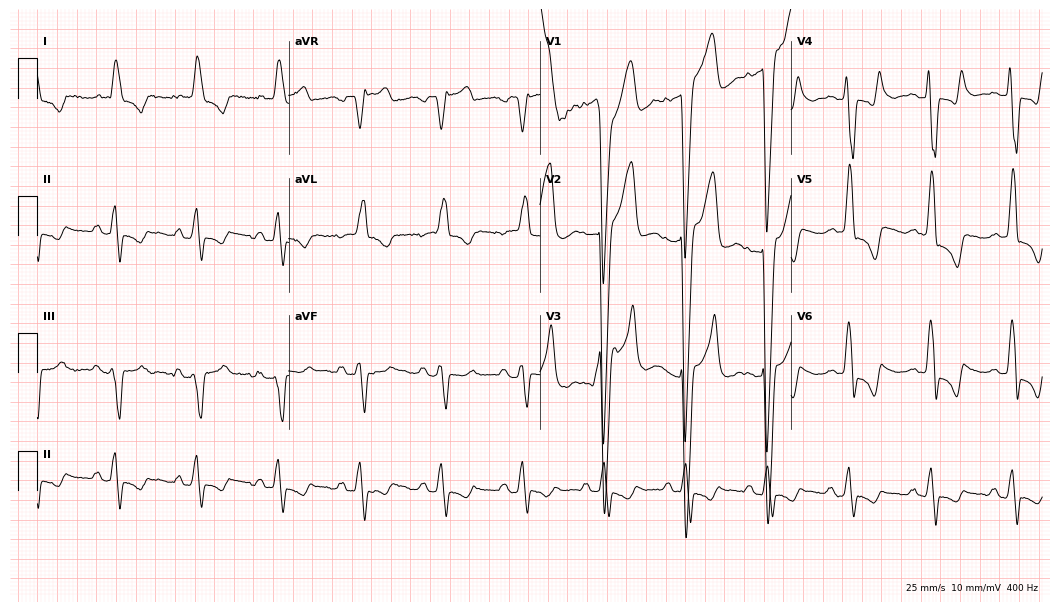
Electrocardiogram (10.2-second recording at 400 Hz), a male, 78 years old. Interpretation includes left bundle branch block.